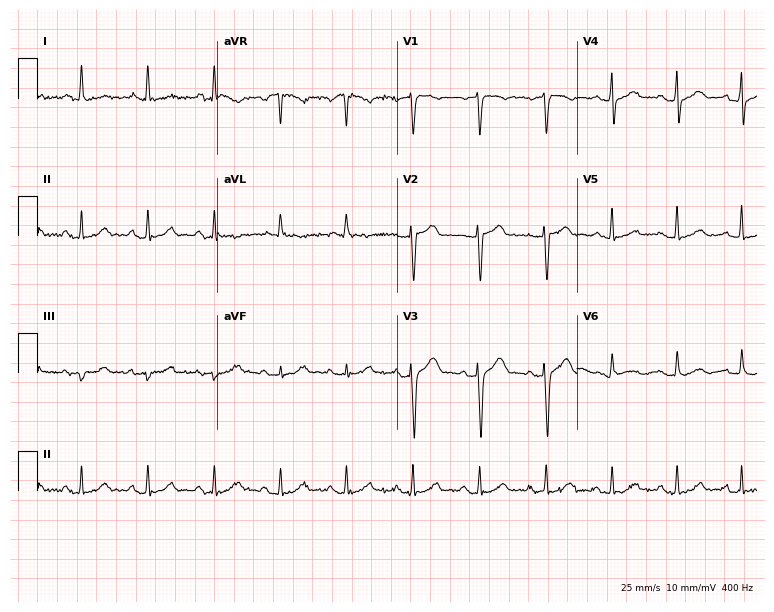
ECG (7.3-second recording at 400 Hz) — a 61-year-old female. Screened for six findings — first-degree AV block, right bundle branch block (RBBB), left bundle branch block (LBBB), sinus bradycardia, atrial fibrillation (AF), sinus tachycardia — none is recorded. Findings outside these six are not listed.